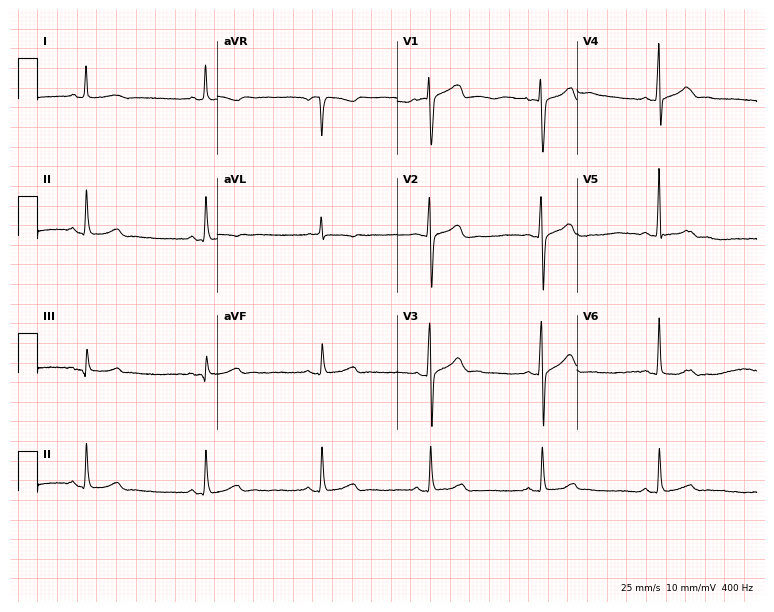
Resting 12-lead electrocardiogram. Patient: a male, 42 years old. None of these six findings is recorded: first-degree AV block, right bundle branch block, left bundle branch block, sinus bradycardia, atrial fibrillation, sinus tachycardia. Only these six findings were labelled.